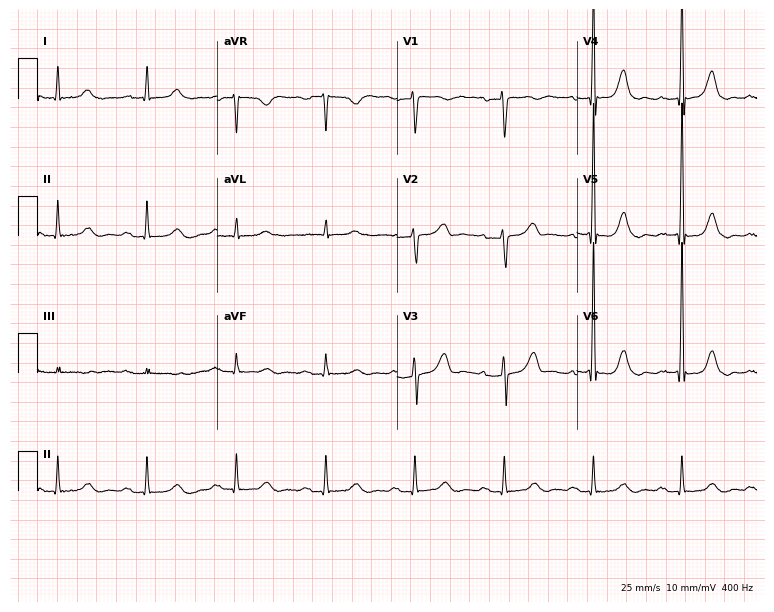
12-lead ECG (7.3-second recording at 400 Hz) from a male, 74 years old. Findings include first-degree AV block.